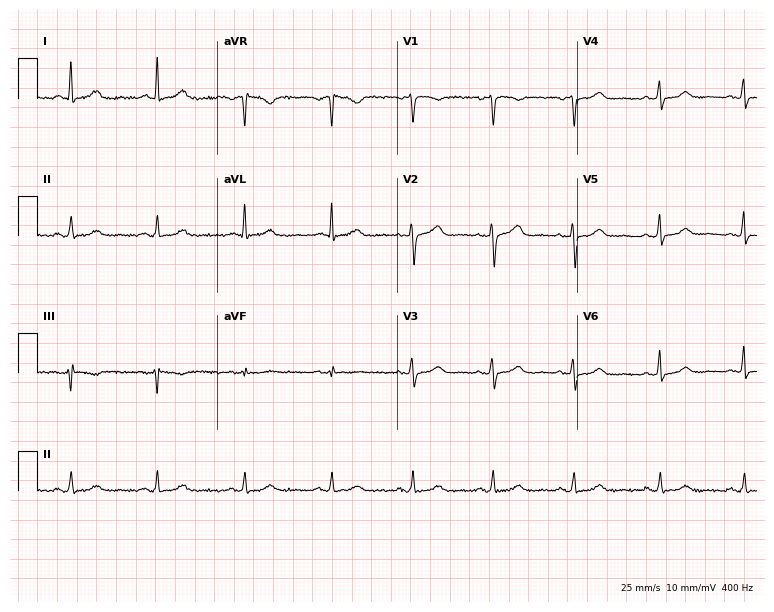
ECG — a 57-year-old female. Labelled as a normal ECG.